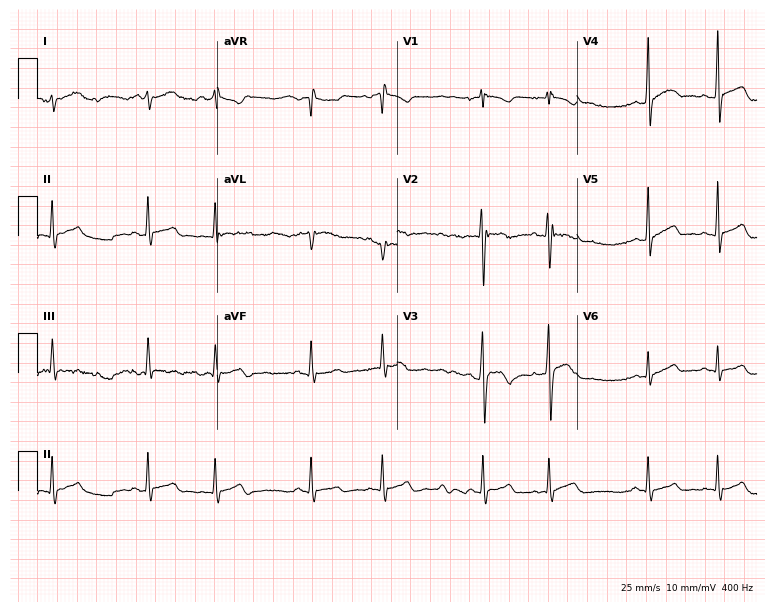
Electrocardiogram, a male, 18 years old. Of the six screened findings (first-degree AV block, right bundle branch block (RBBB), left bundle branch block (LBBB), sinus bradycardia, atrial fibrillation (AF), sinus tachycardia), none is recorded.